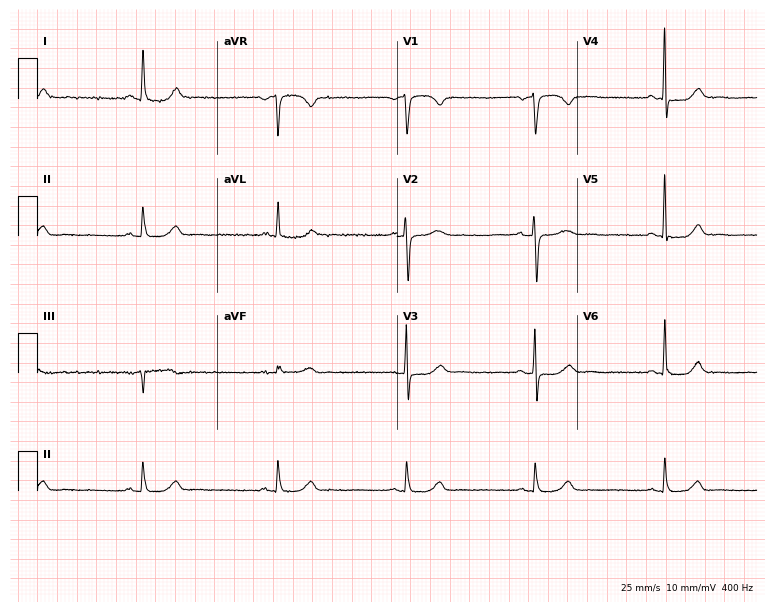
Resting 12-lead electrocardiogram (7.3-second recording at 400 Hz). Patient: a 51-year-old female. The tracing shows sinus bradycardia (a sinus rate of 50 beats per minute or less).